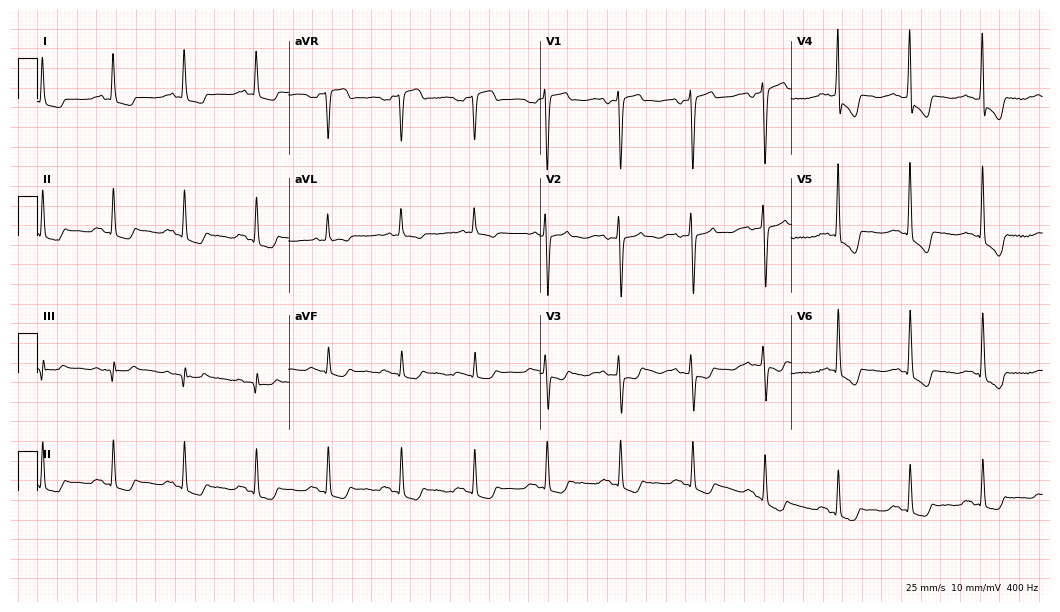
Electrocardiogram, a 76-year-old woman. Of the six screened findings (first-degree AV block, right bundle branch block, left bundle branch block, sinus bradycardia, atrial fibrillation, sinus tachycardia), none is recorded.